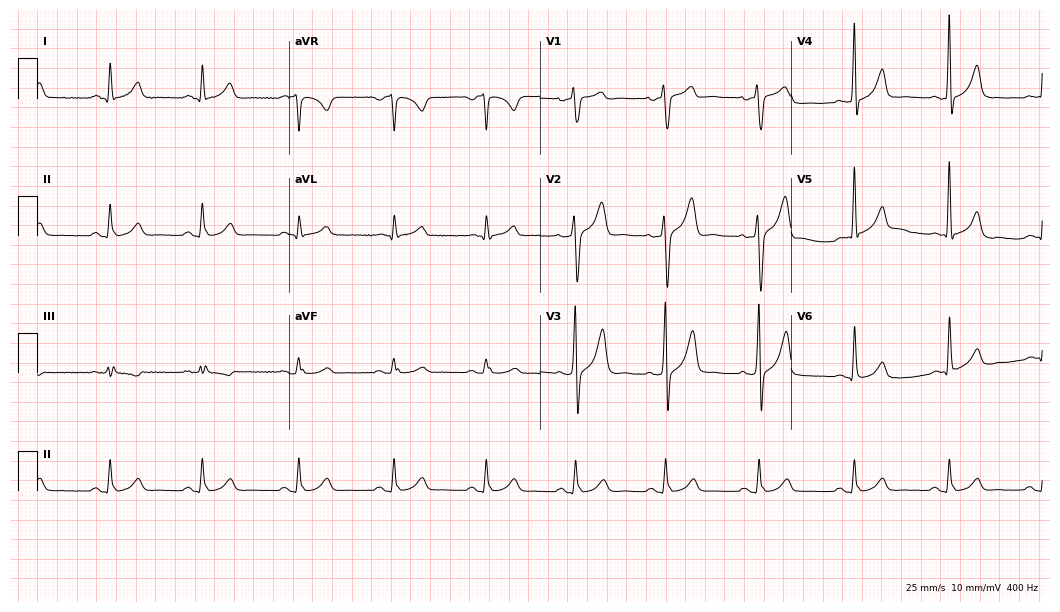
12-lead ECG from a 44-year-old man. Screened for six findings — first-degree AV block, right bundle branch block, left bundle branch block, sinus bradycardia, atrial fibrillation, sinus tachycardia — none is recorded. Findings outside these six are not listed.